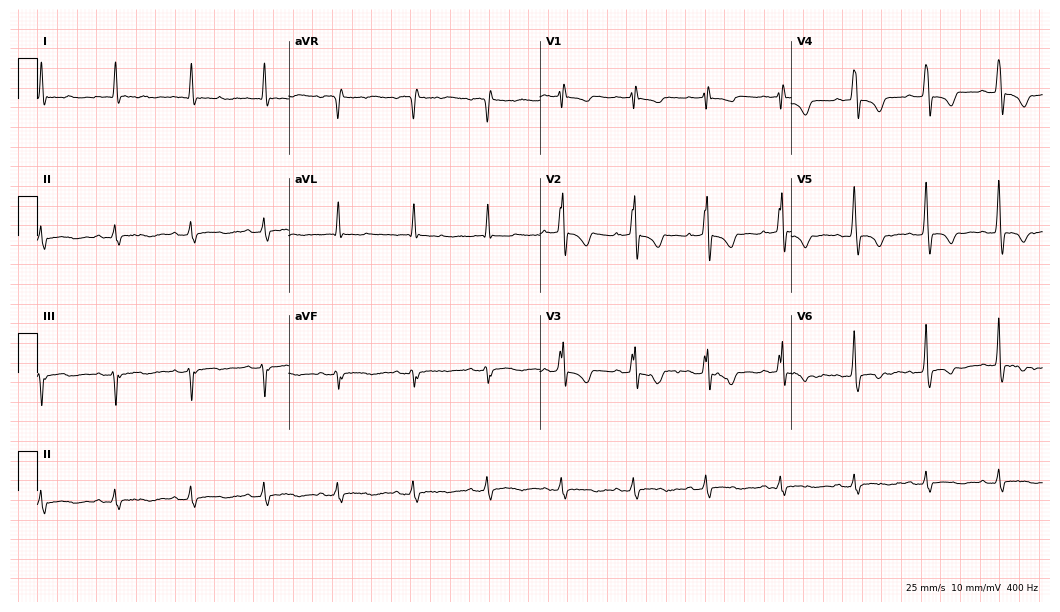
12-lead ECG from a 77-year-old male patient. Screened for six findings — first-degree AV block, right bundle branch block (RBBB), left bundle branch block (LBBB), sinus bradycardia, atrial fibrillation (AF), sinus tachycardia — none is recorded. Only these six findings were labelled.